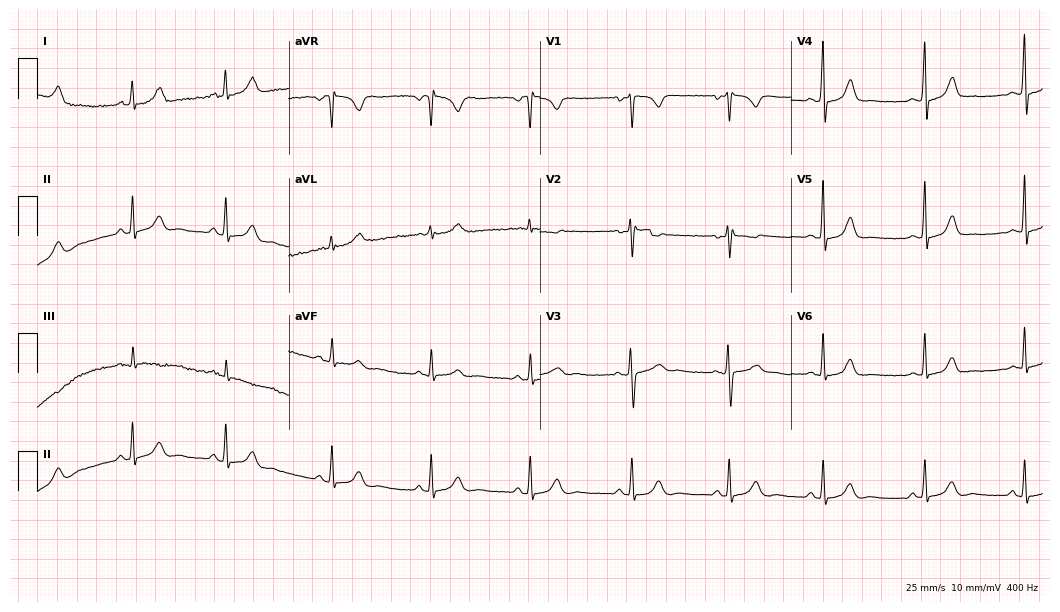
ECG — a 32-year-old female patient. Screened for six findings — first-degree AV block, right bundle branch block, left bundle branch block, sinus bradycardia, atrial fibrillation, sinus tachycardia — none is recorded.